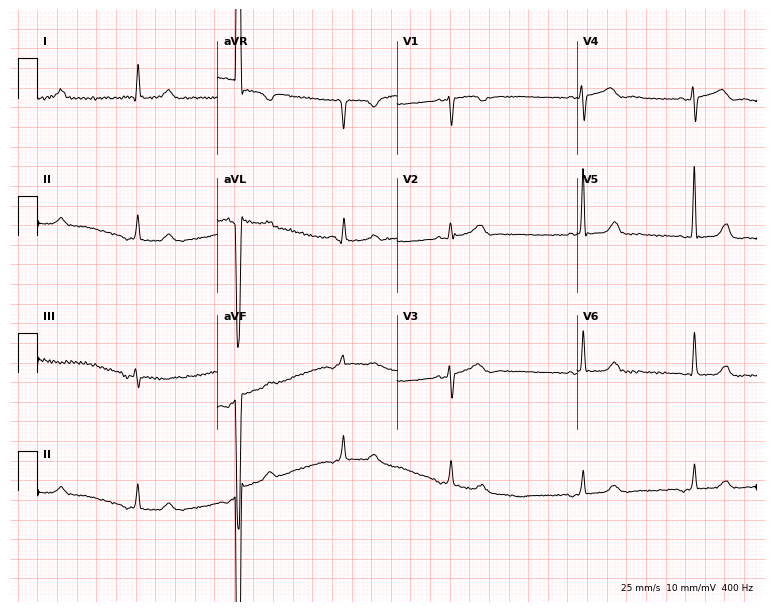
Standard 12-lead ECG recorded from a 74-year-old female patient (7.3-second recording at 400 Hz). None of these six findings is recorded: first-degree AV block, right bundle branch block, left bundle branch block, sinus bradycardia, atrial fibrillation, sinus tachycardia.